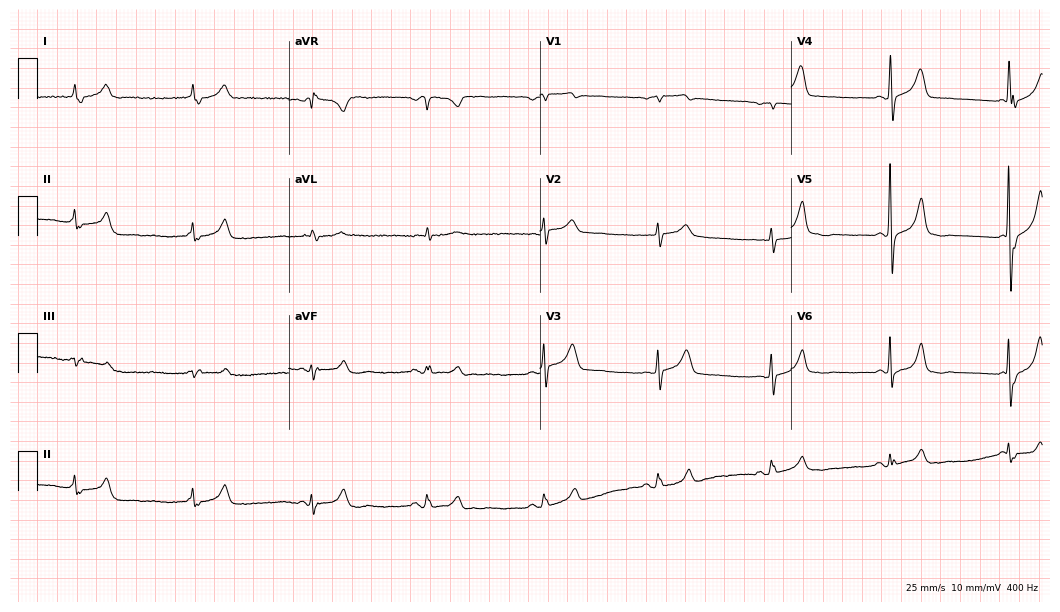
Resting 12-lead electrocardiogram (10.2-second recording at 400 Hz). Patient: a female, 68 years old. None of these six findings is recorded: first-degree AV block, right bundle branch block (RBBB), left bundle branch block (LBBB), sinus bradycardia, atrial fibrillation (AF), sinus tachycardia. Other findings, if any, are not listed.